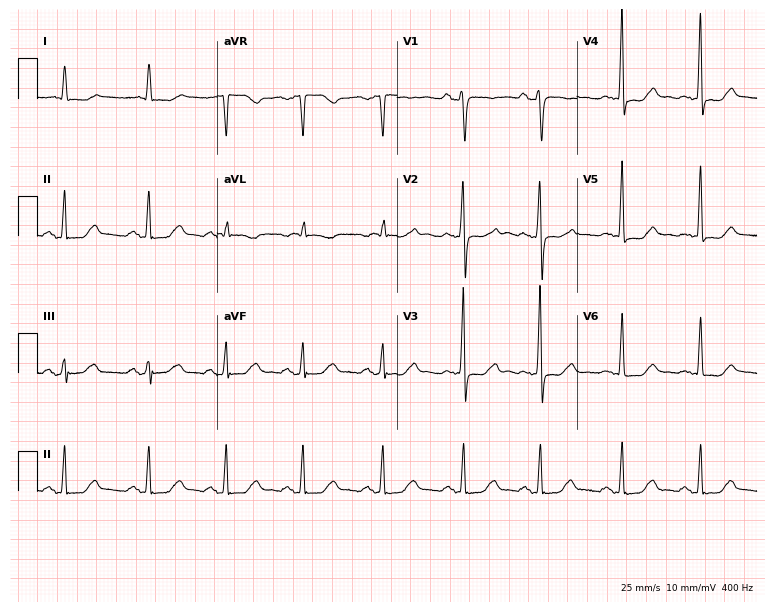
12-lead ECG from a 47-year-old woman (7.3-second recording at 400 Hz). No first-degree AV block, right bundle branch block, left bundle branch block, sinus bradycardia, atrial fibrillation or sinus tachycardia recorded for this tracing.